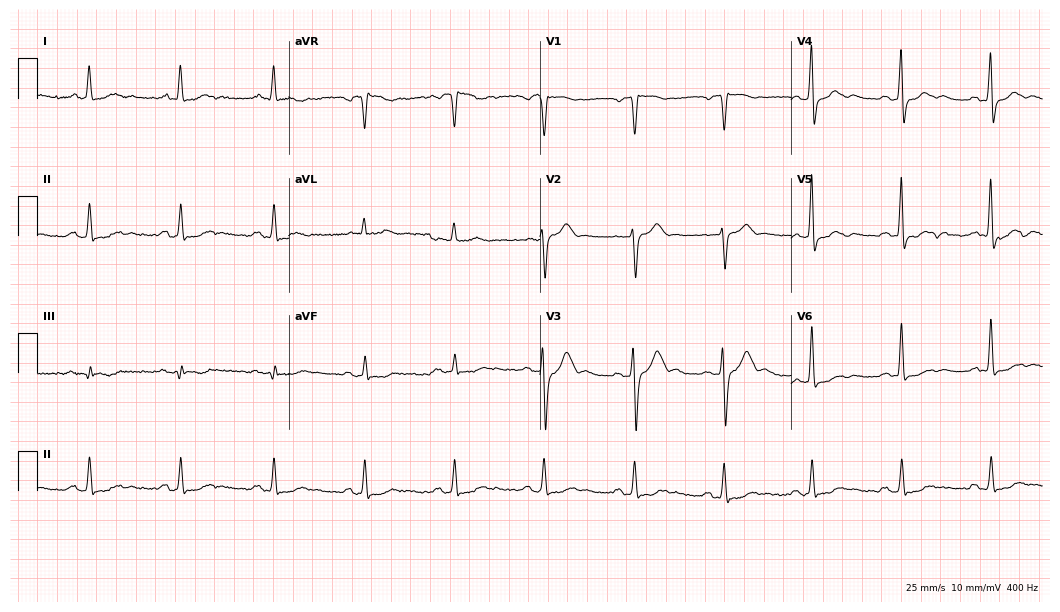
12-lead ECG from a 61-year-old male (10.2-second recording at 400 Hz). No first-degree AV block, right bundle branch block, left bundle branch block, sinus bradycardia, atrial fibrillation or sinus tachycardia recorded for this tracing. Findings outside these six are not listed.